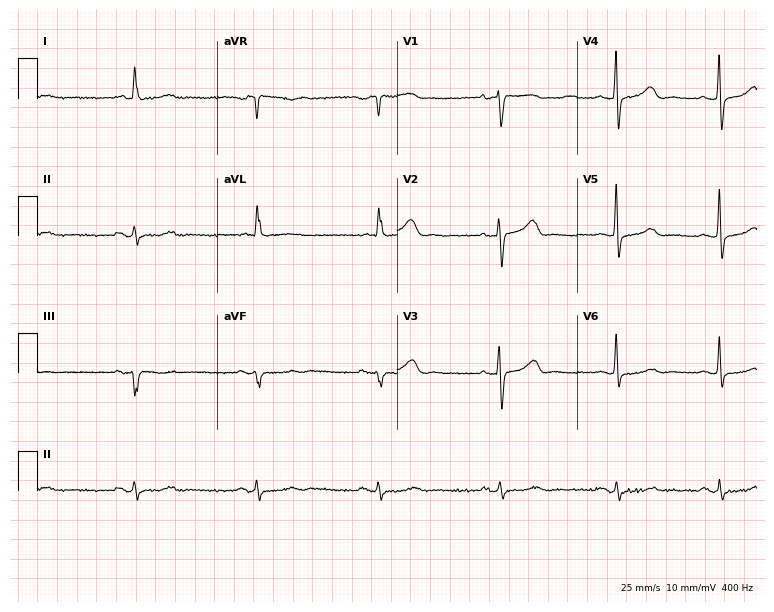
12-lead ECG (7.3-second recording at 400 Hz) from an 80-year-old female patient. Findings include sinus bradycardia (a sinus rate of 50 beats per minute or less).